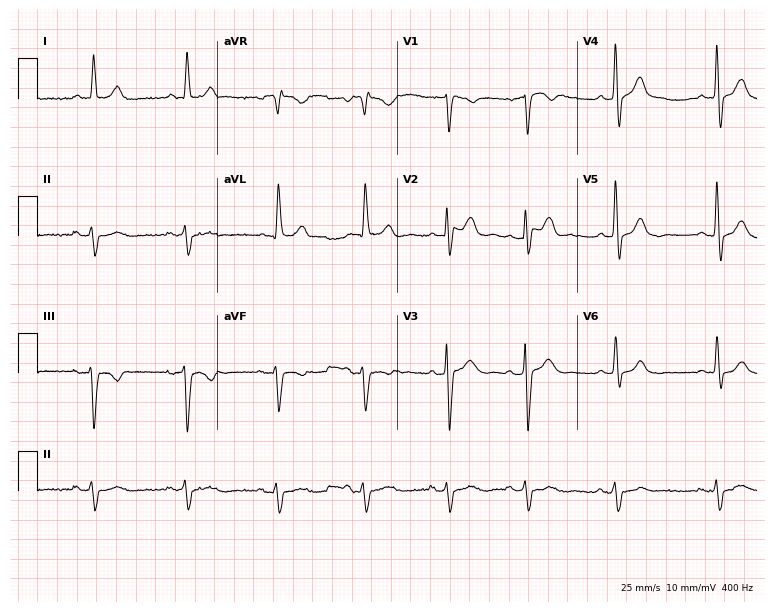
Electrocardiogram (7.3-second recording at 400 Hz), a man, 84 years old. Overall reading on record: normal ECG.